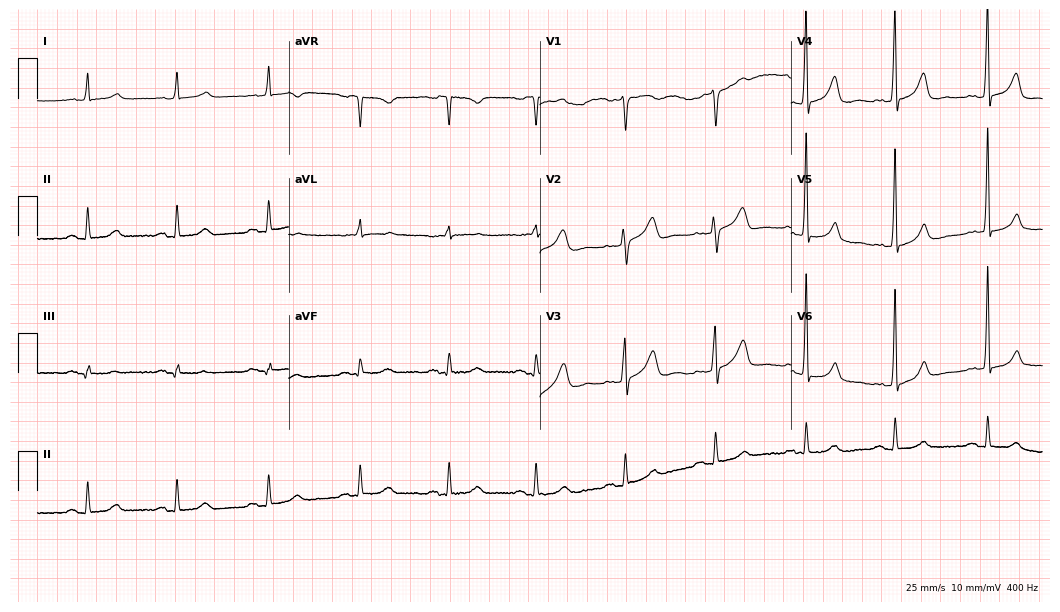
ECG (10.2-second recording at 400 Hz) — an 82-year-old male. Screened for six findings — first-degree AV block, right bundle branch block (RBBB), left bundle branch block (LBBB), sinus bradycardia, atrial fibrillation (AF), sinus tachycardia — none is recorded.